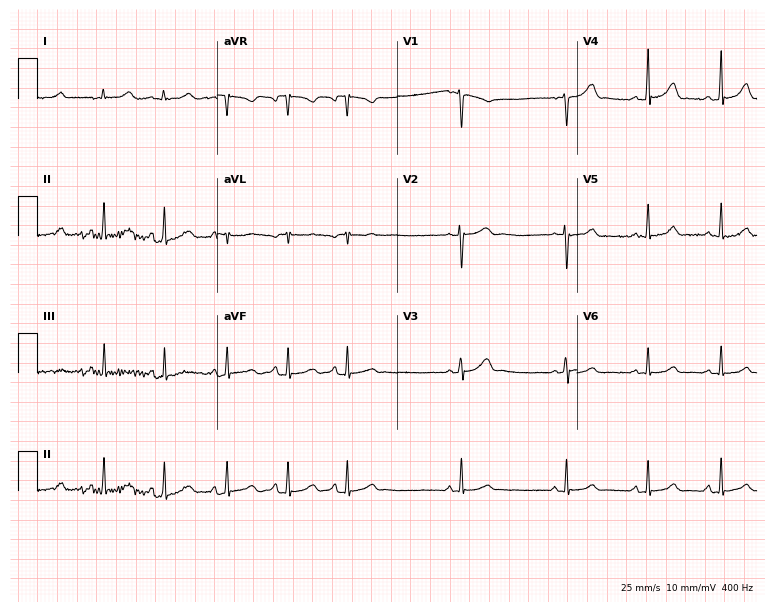
12-lead ECG from a female, 19 years old. Labelled as a normal ECG.